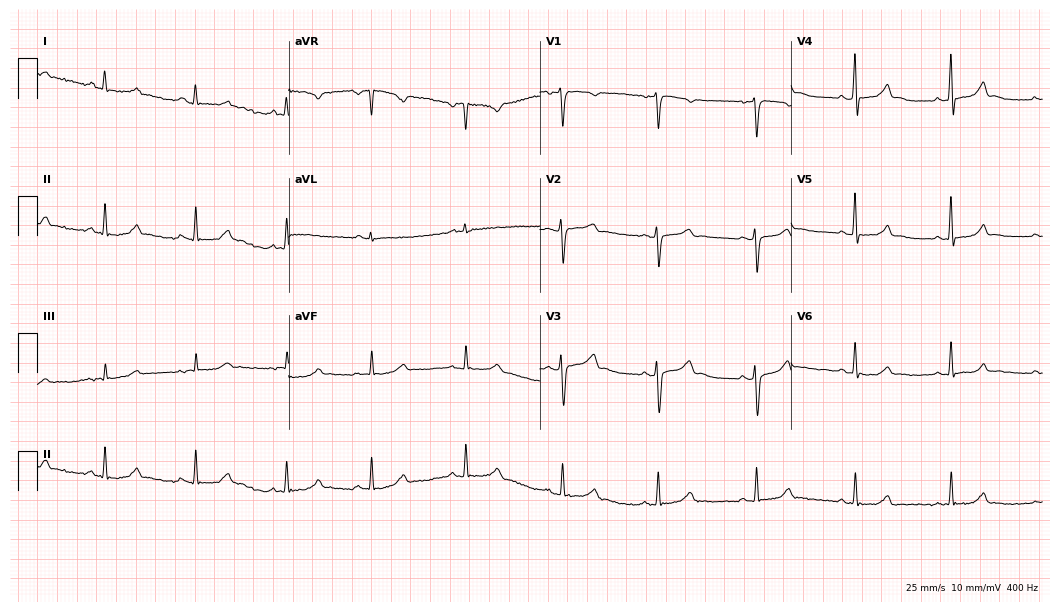
12-lead ECG (10.2-second recording at 400 Hz) from a 36-year-old female patient. Labelled as a normal ECG.